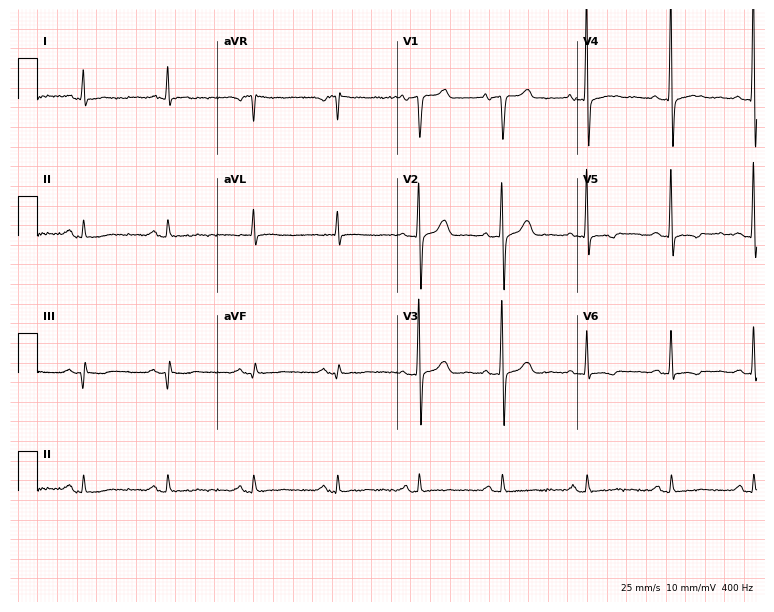
12-lead ECG (7.3-second recording at 400 Hz) from a female patient, 74 years old. Screened for six findings — first-degree AV block, right bundle branch block (RBBB), left bundle branch block (LBBB), sinus bradycardia, atrial fibrillation (AF), sinus tachycardia — none is recorded. Only these six findings were labelled.